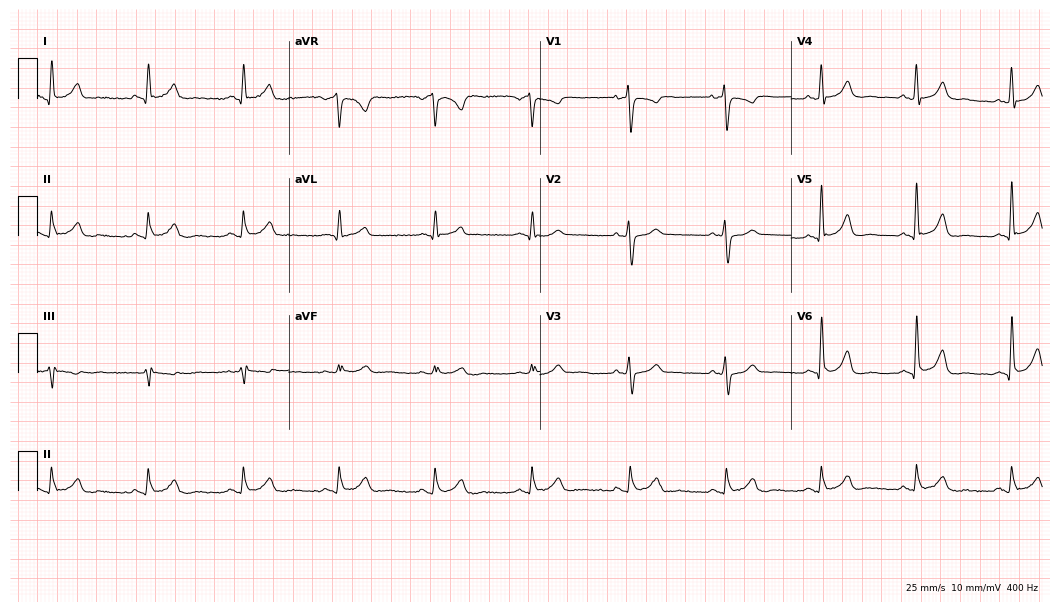
Electrocardiogram, a male, 54 years old. Overall reading on record: normal ECG.